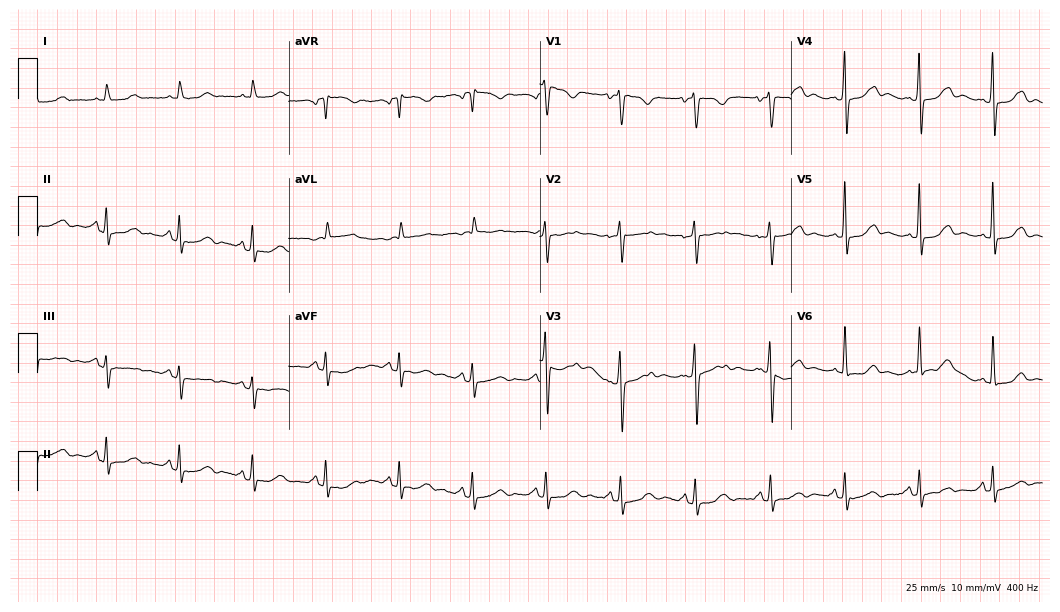
Resting 12-lead electrocardiogram (10.2-second recording at 400 Hz). Patient: a woman, 64 years old. Read as a normal ECG.